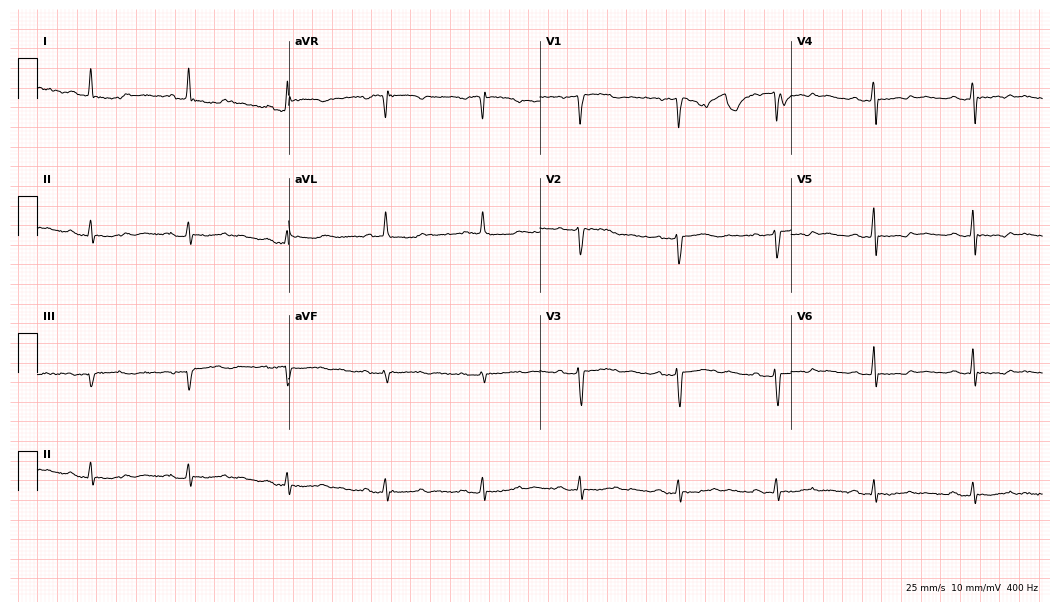
Electrocardiogram (10.2-second recording at 400 Hz), a 79-year-old woman. Interpretation includes first-degree AV block.